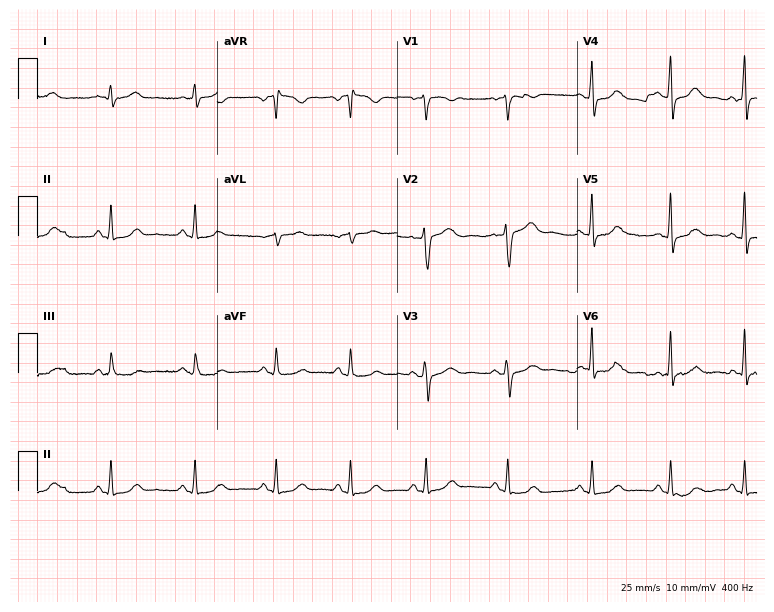
Standard 12-lead ECG recorded from a female patient, 40 years old. Read as a normal ECG.